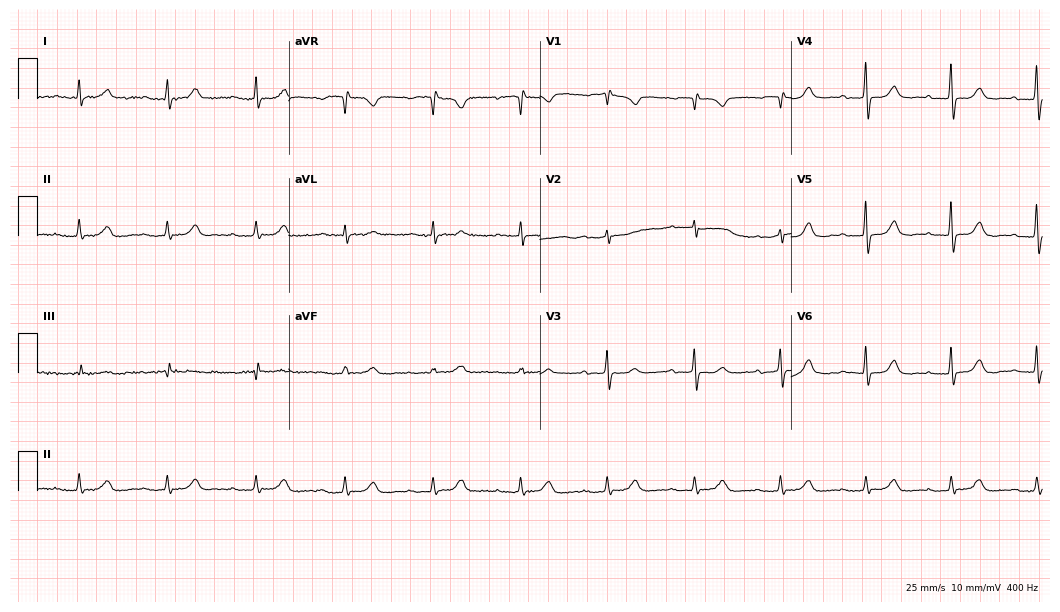
Standard 12-lead ECG recorded from an 82-year-old female patient (10.2-second recording at 400 Hz). The tracing shows first-degree AV block.